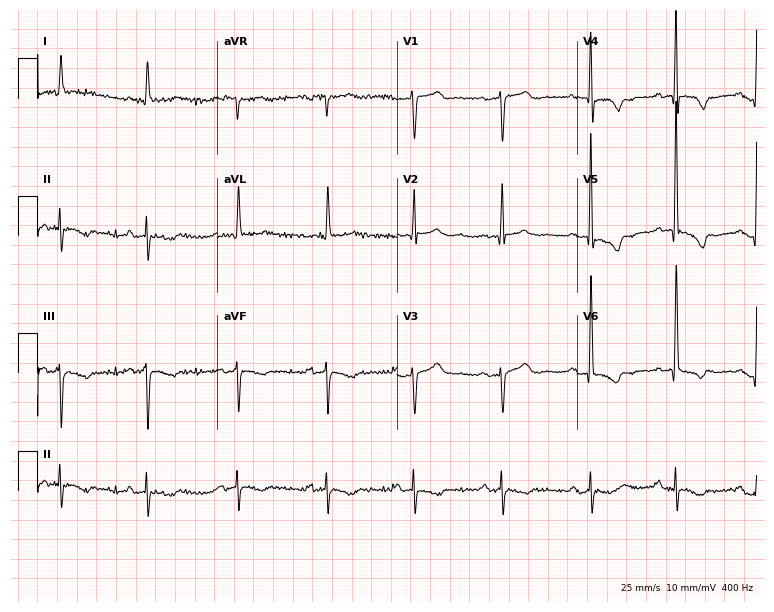
12-lead ECG from a female patient, 76 years old. Screened for six findings — first-degree AV block, right bundle branch block, left bundle branch block, sinus bradycardia, atrial fibrillation, sinus tachycardia — none is recorded.